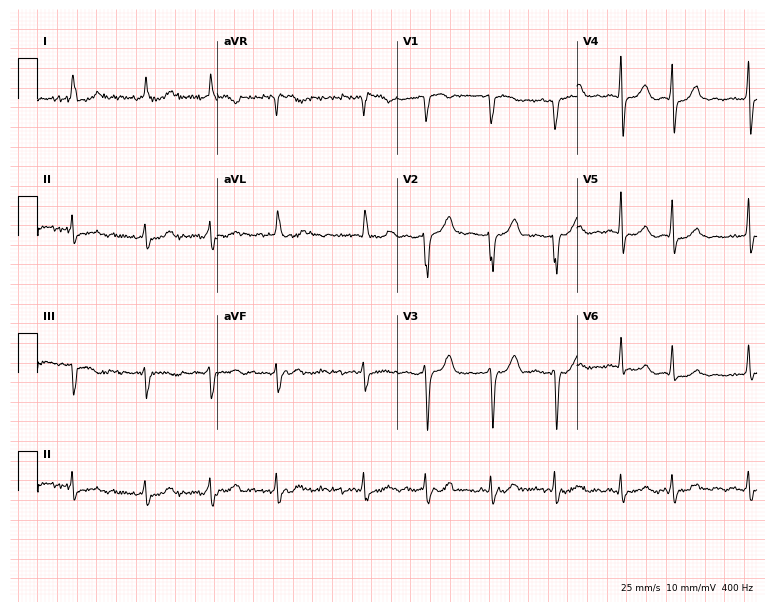
Electrocardiogram (7.3-second recording at 400 Hz), a man, 74 years old. Of the six screened findings (first-degree AV block, right bundle branch block, left bundle branch block, sinus bradycardia, atrial fibrillation, sinus tachycardia), none is recorded.